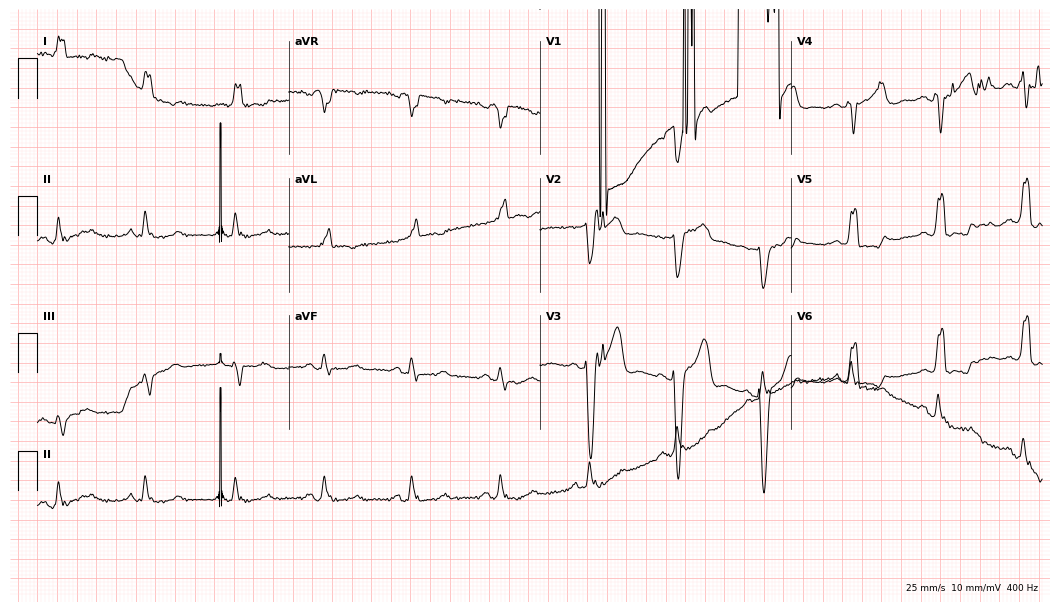
12-lead ECG from a male, 80 years old. No first-degree AV block, right bundle branch block (RBBB), left bundle branch block (LBBB), sinus bradycardia, atrial fibrillation (AF) or sinus tachycardia recorded for this tracing.